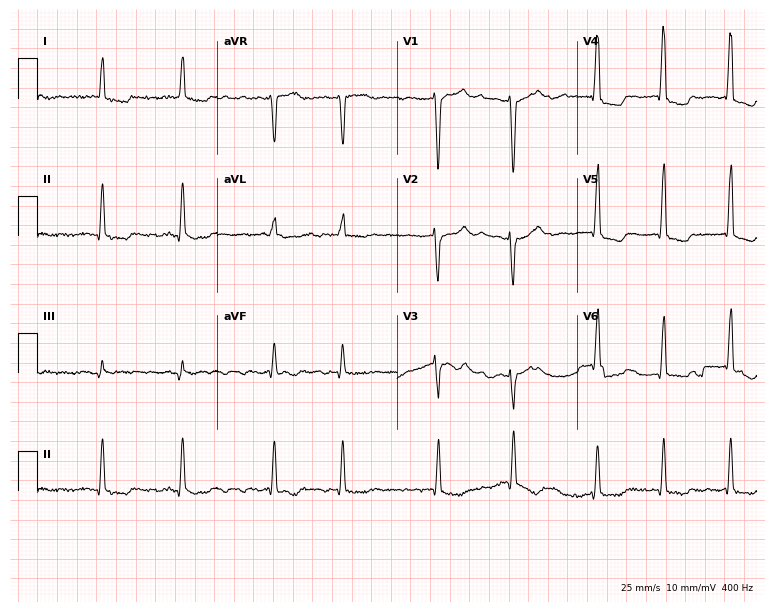
Standard 12-lead ECG recorded from a woman, 68 years old (7.3-second recording at 400 Hz). The tracing shows atrial fibrillation (AF).